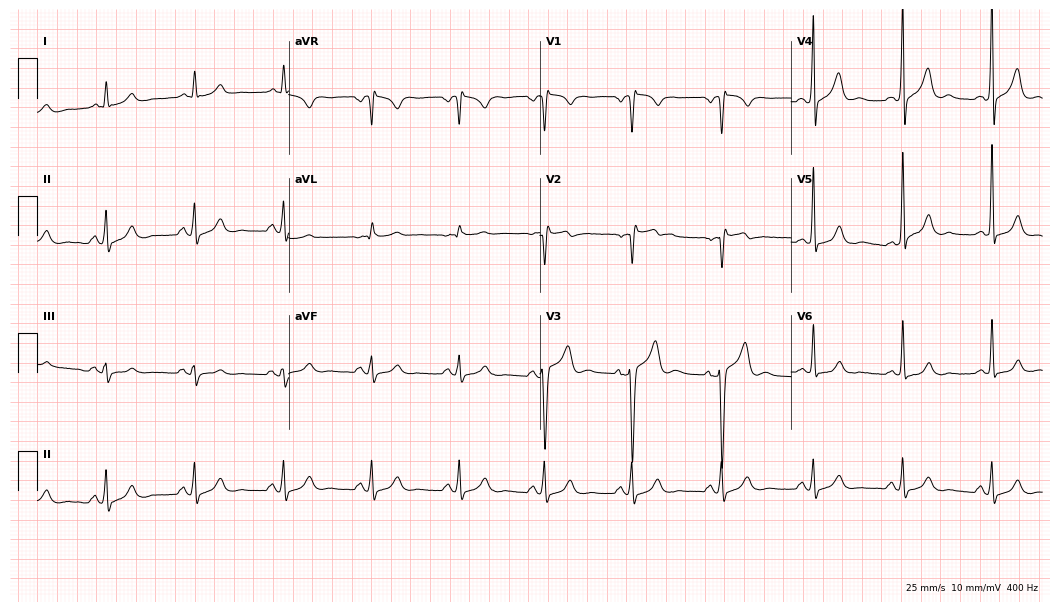
Electrocardiogram (10.2-second recording at 400 Hz), a male patient, 54 years old. Overall reading on record: normal ECG.